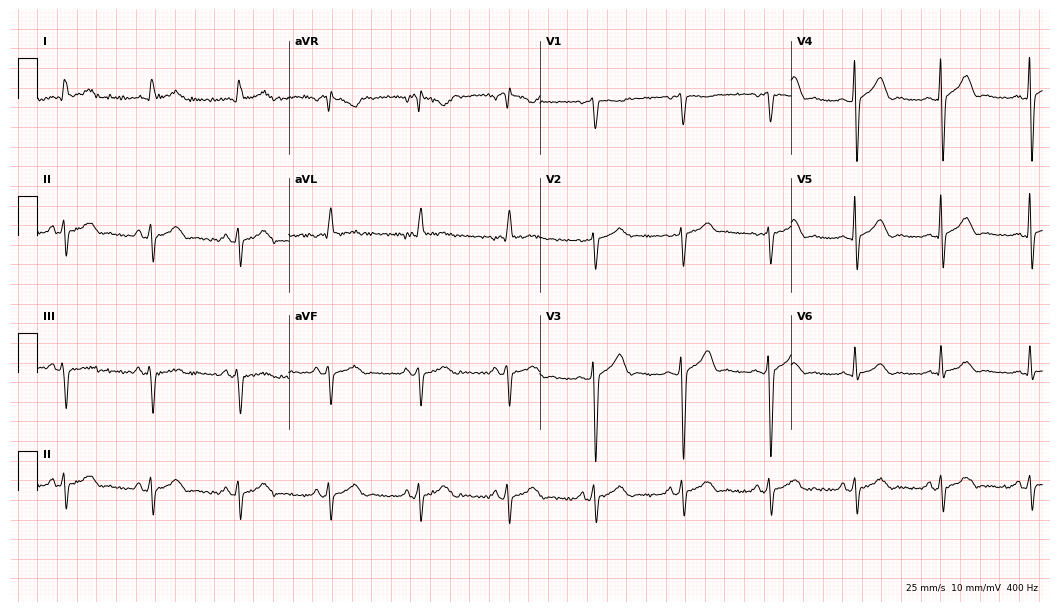
Resting 12-lead electrocardiogram. Patient: a 69-year-old man. None of these six findings is recorded: first-degree AV block, right bundle branch block (RBBB), left bundle branch block (LBBB), sinus bradycardia, atrial fibrillation (AF), sinus tachycardia.